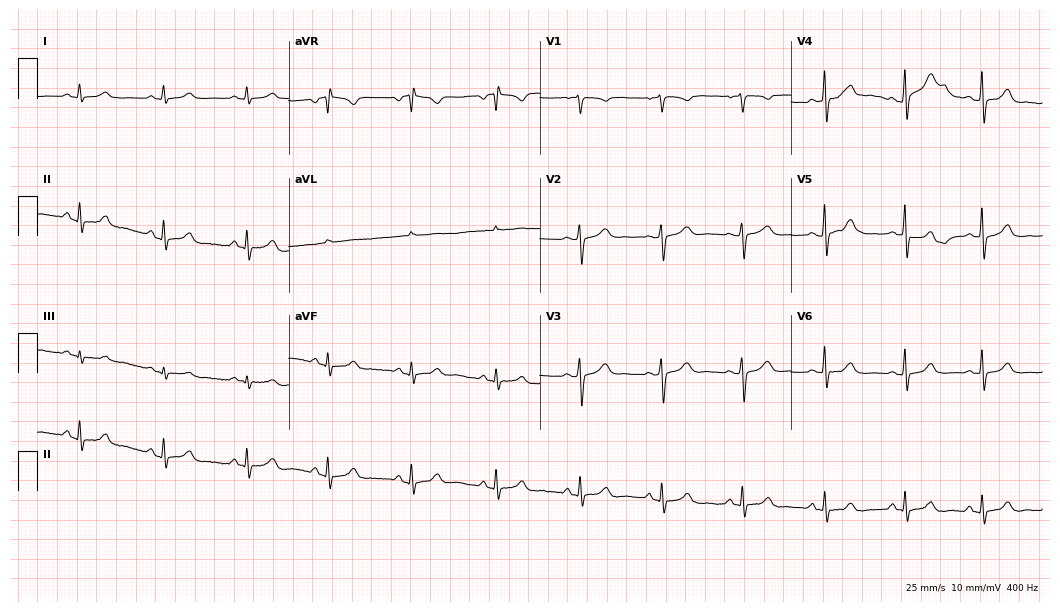
ECG (10.2-second recording at 400 Hz) — a female, 20 years old. Labelled as a normal ECG.